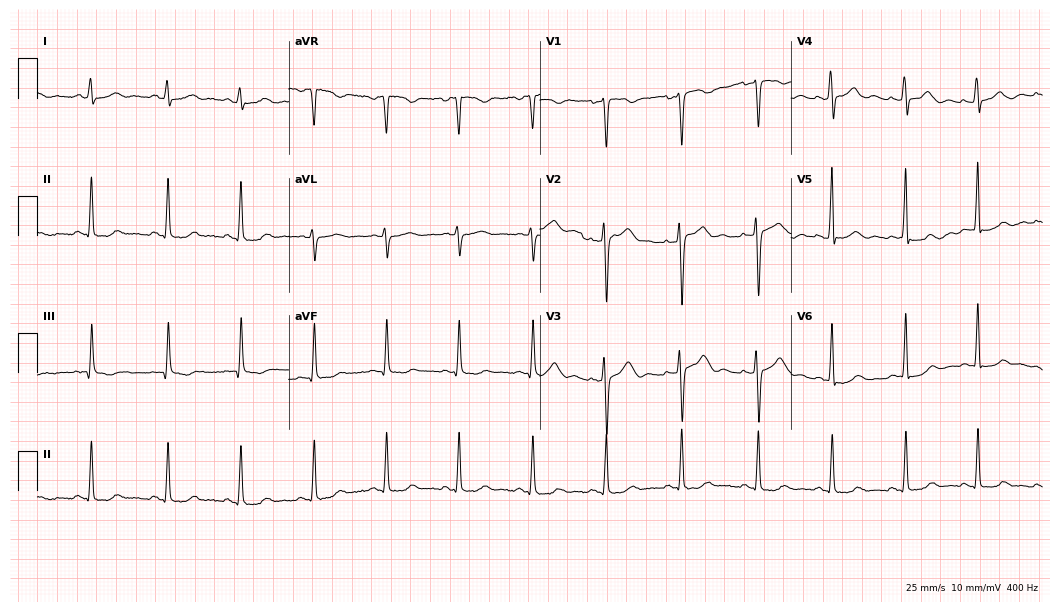
ECG (10.2-second recording at 400 Hz) — a woman, 50 years old. Labelled as a normal ECG.